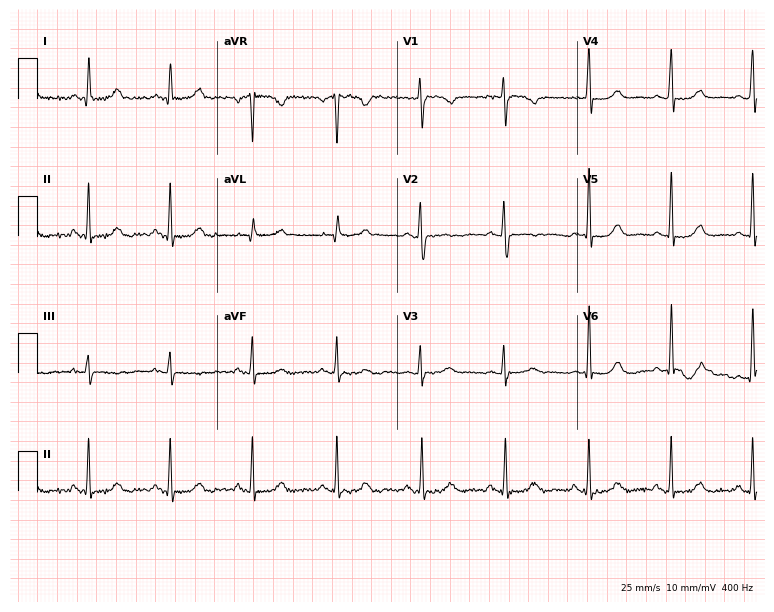
Electrocardiogram (7.3-second recording at 400 Hz), a female patient, 49 years old. Of the six screened findings (first-degree AV block, right bundle branch block, left bundle branch block, sinus bradycardia, atrial fibrillation, sinus tachycardia), none is recorded. Findings outside these six are not listed.